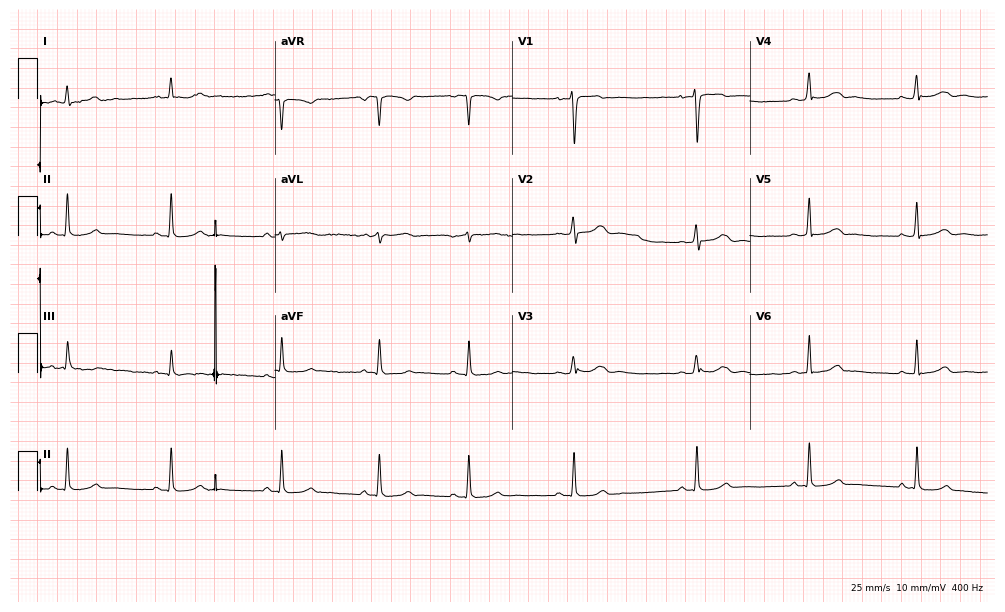
12-lead ECG from a female patient, 24 years old. Recorded interpretation: within normal limits.